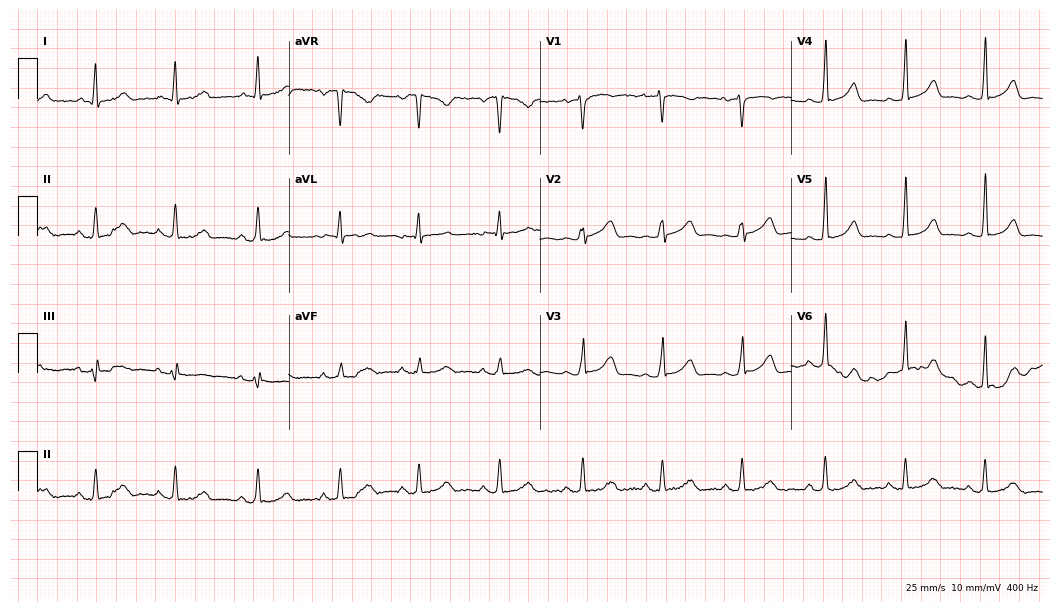
ECG — a 35-year-old woman. Labelled as a normal ECG.